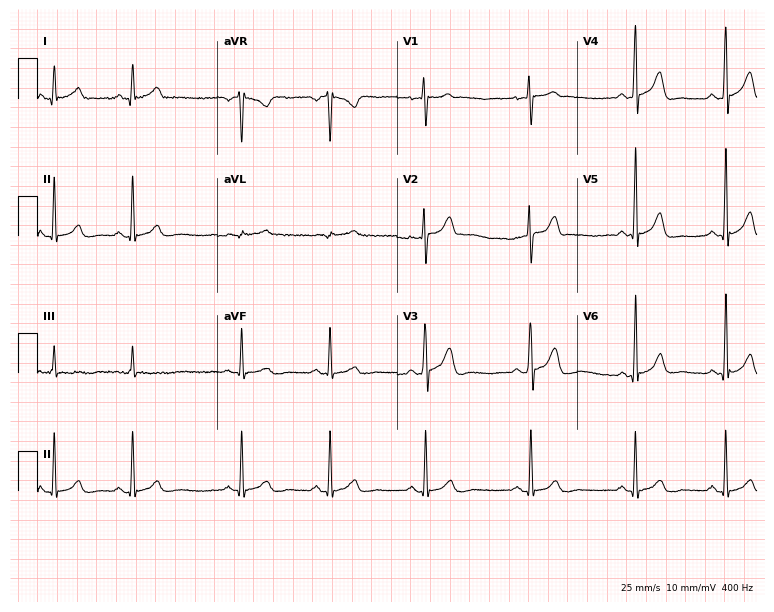
Resting 12-lead electrocardiogram (7.3-second recording at 400 Hz). Patient: a male, 40 years old. None of these six findings is recorded: first-degree AV block, right bundle branch block, left bundle branch block, sinus bradycardia, atrial fibrillation, sinus tachycardia. Other findings, if any, are not listed.